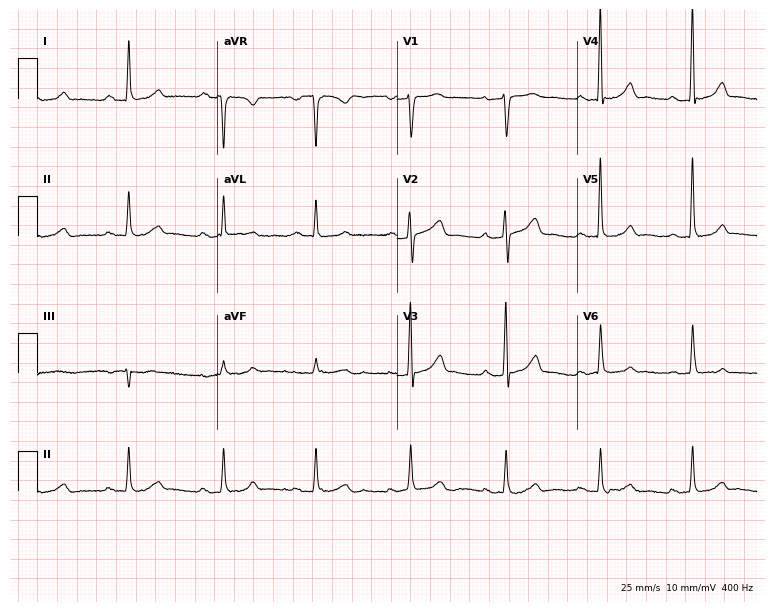
Standard 12-lead ECG recorded from a female patient, 52 years old (7.3-second recording at 400 Hz). Read as a normal ECG.